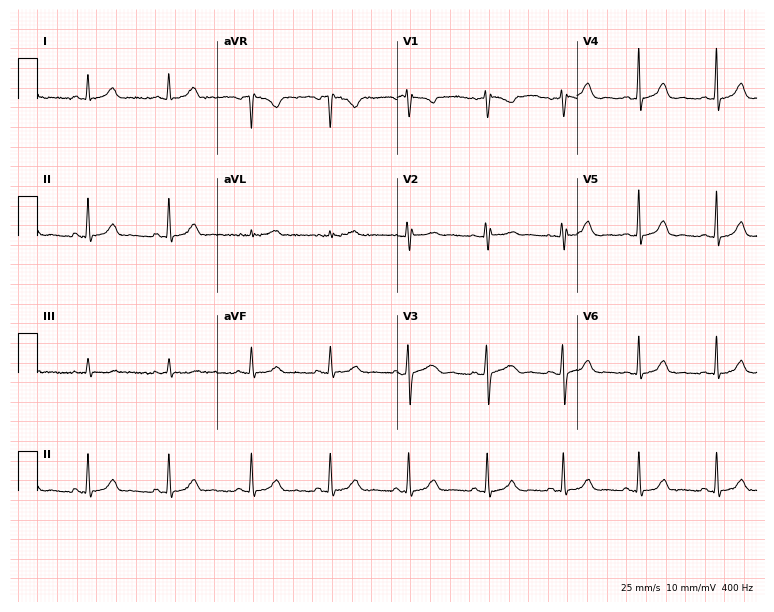
ECG — a 30-year-old female patient. Labelled as a normal ECG.